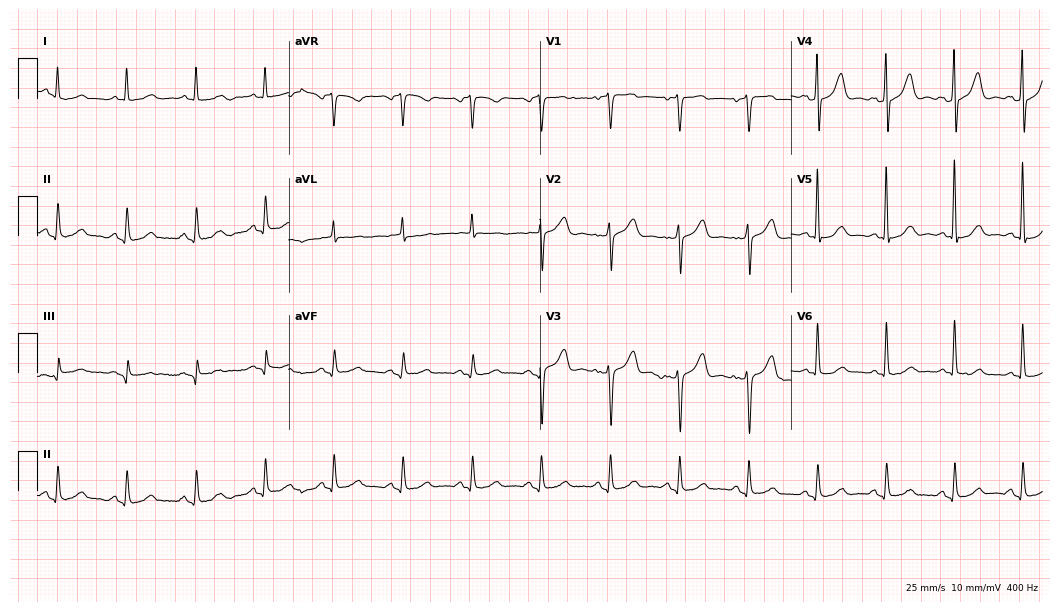
12-lead ECG (10.2-second recording at 400 Hz) from a 69-year-old male patient. Screened for six findings — first-degree AV block, right bundle branch block, left bundle branch block, sinus bradycardia, atrial fibrillation, sinus tachycardia — none is recorded. Findings outside these six are not listed.